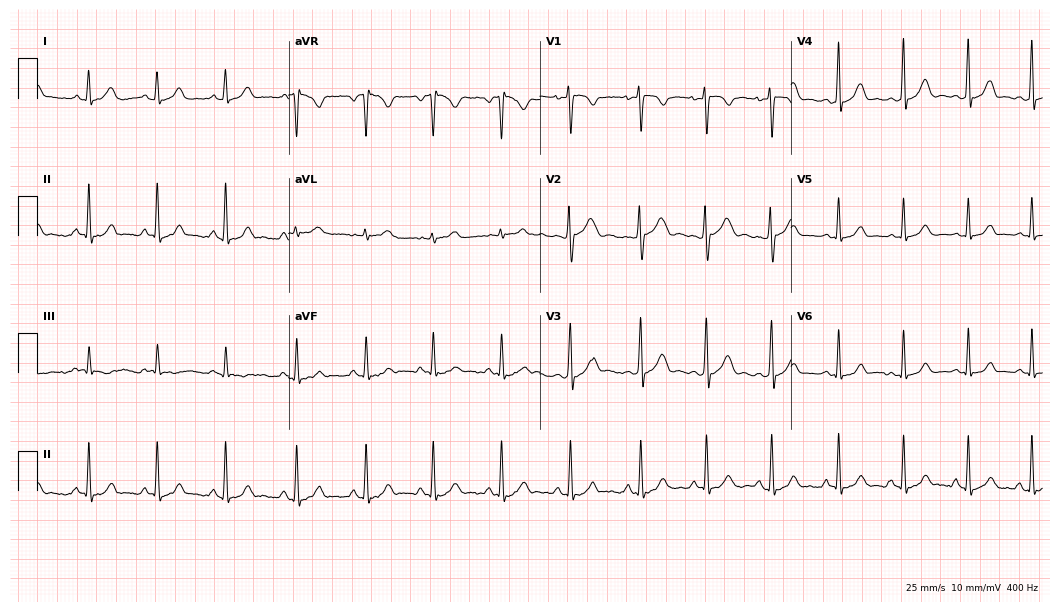
Resting 12-lead electrocardiogram. Patient: a female, 19 years old. Read as a normal ECG.